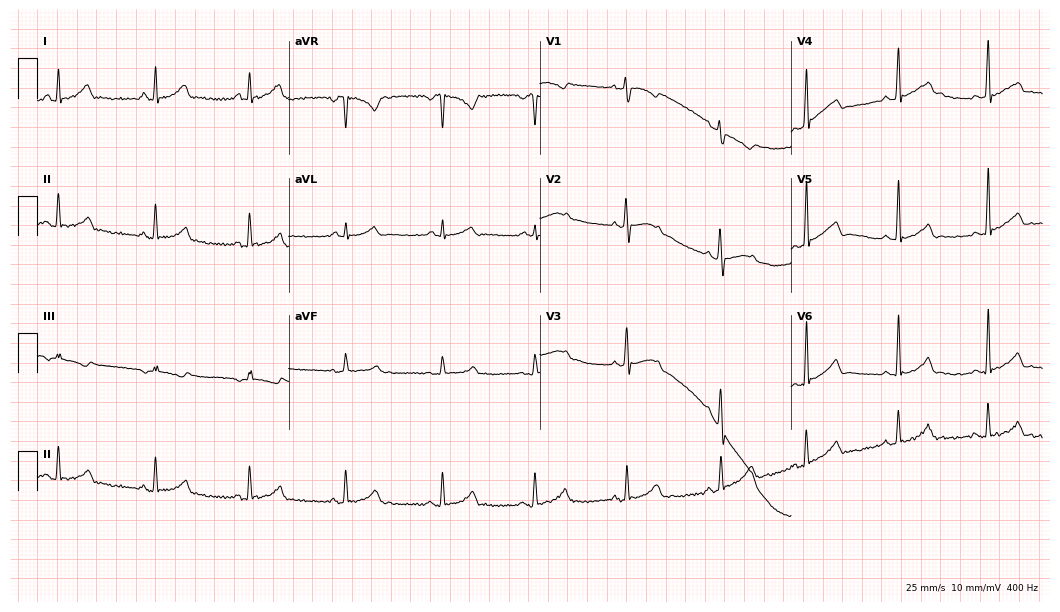
Resting 12-lead electrocardiogram. Patient: a female, 19 years old. Read as a normal ECG.